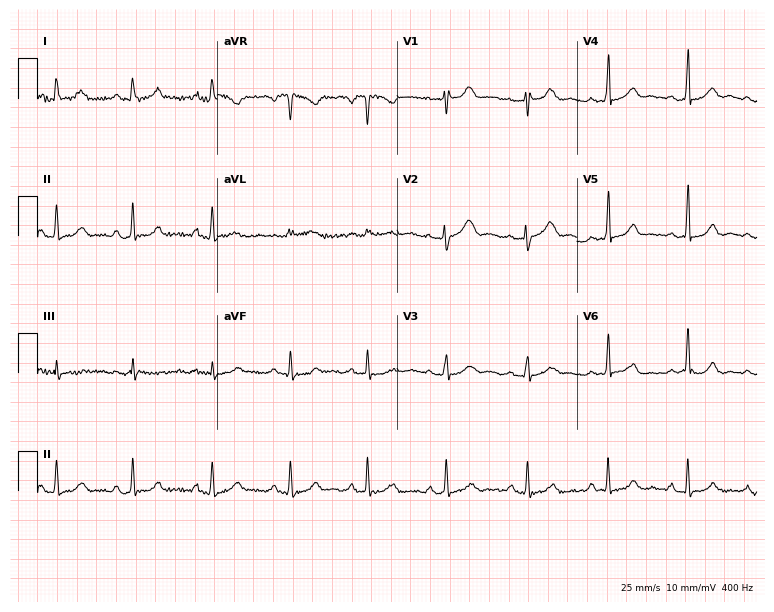
Resting 12-lead electrocardiogram (7.3-second recording at 400 Hz). Patient: a female, 36 years old. None of these six findings is recorded: first-degree AV block, right bundle branch block (RBBB), left bundle branch block (LBBB), sinus bradycardia, atrial fibrillation (AF), sinus tachycardia.